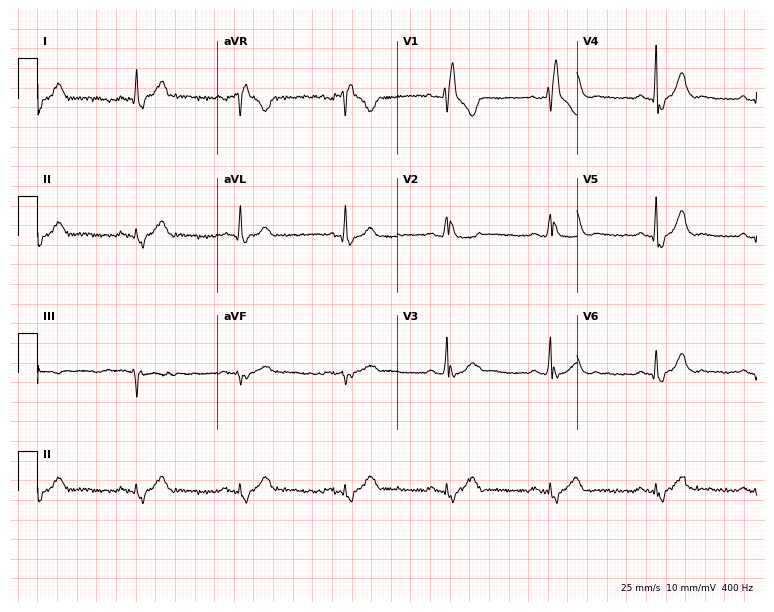
12-lead ECG (7.3-second recording at 400 Hz) from a man, 54 years old. Findings include right bundle branch block.